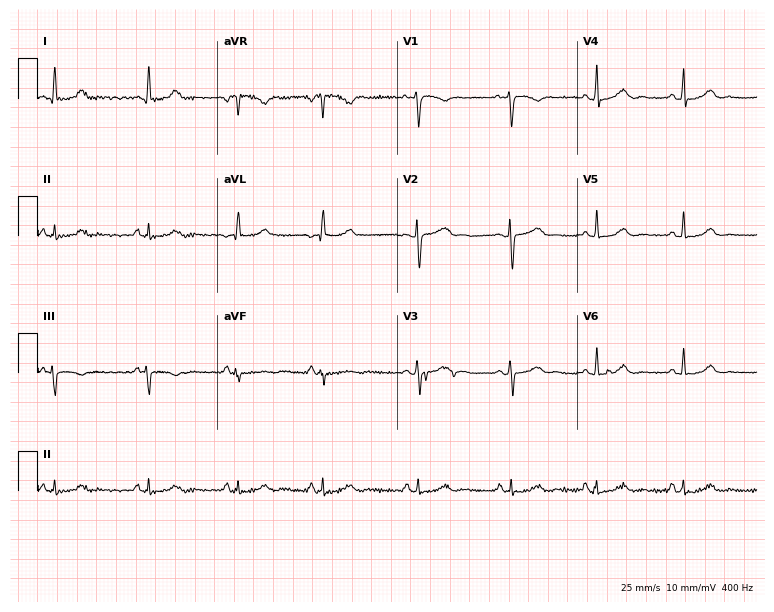
Standard 12-lead ECG recorded from a 29-year-old woman (7.3-second recording at 400 Hz). None of these six findings is recorded: first-degree AV block, right bundle branch block, left bundle branch block, sinus bradycardia, atrial fibrillation, sinus tachycardia. Other findings, if any, are not listed.